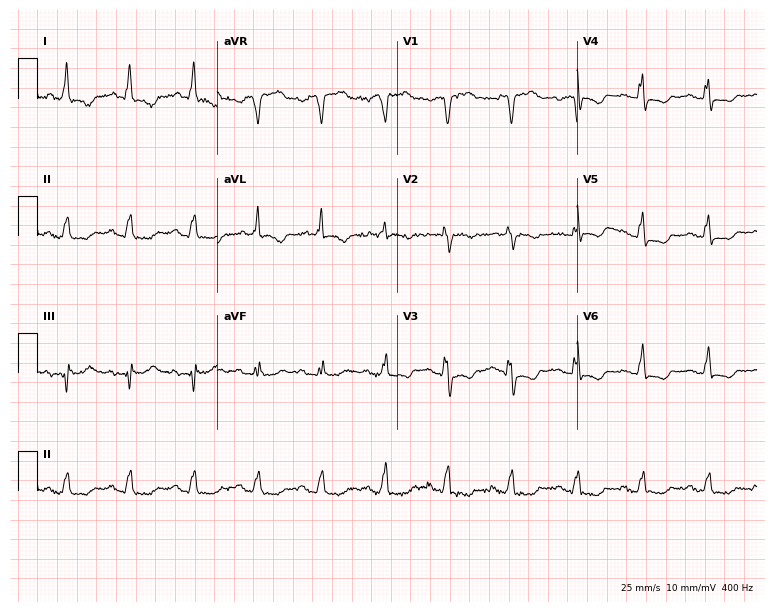
12-lead ECG from a 76-year-old woman. Screened for six findings — first-degree AV block, right bundle branch block (RBBB), left bundle branch block (LBBB), sinus bradycardia, atrial fibrillation (AF), sinus tachycardia — none is recorded. Findings outside these six are not listed.